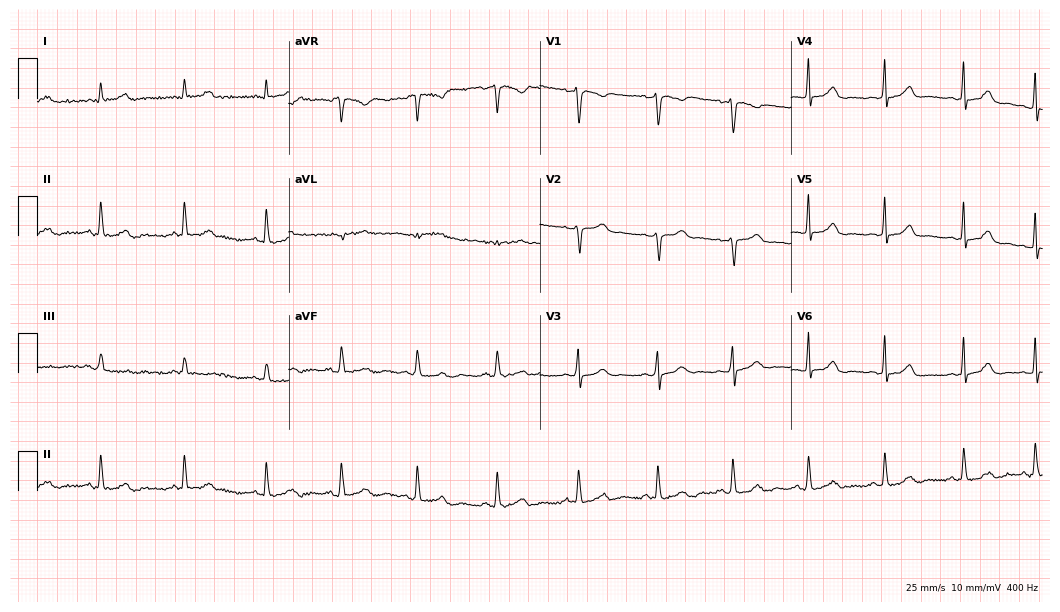
12-lead ECG from a female patient, 20 years old. Labelled as a normal ECG.